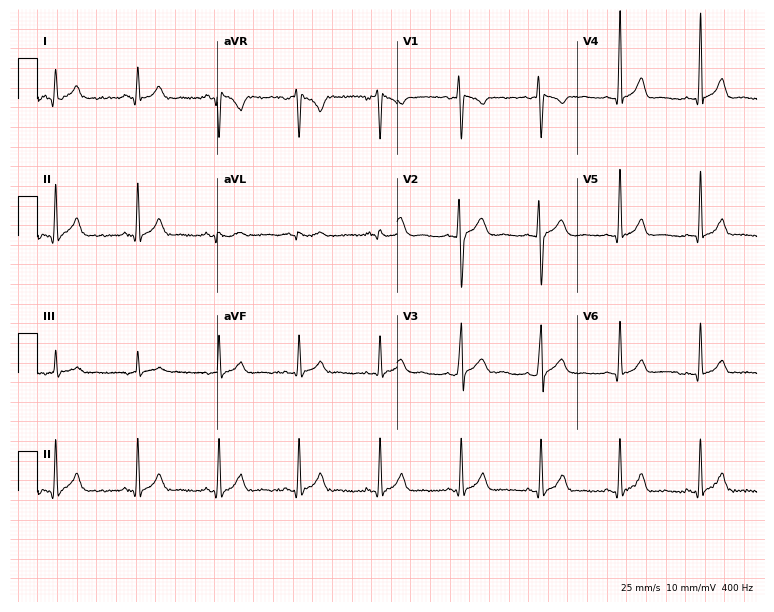
Resting 12-lead electrocardiogram (7.3-second recording at 400 Hz). Patient: a 29-year-old male. Read as a normal ECG.